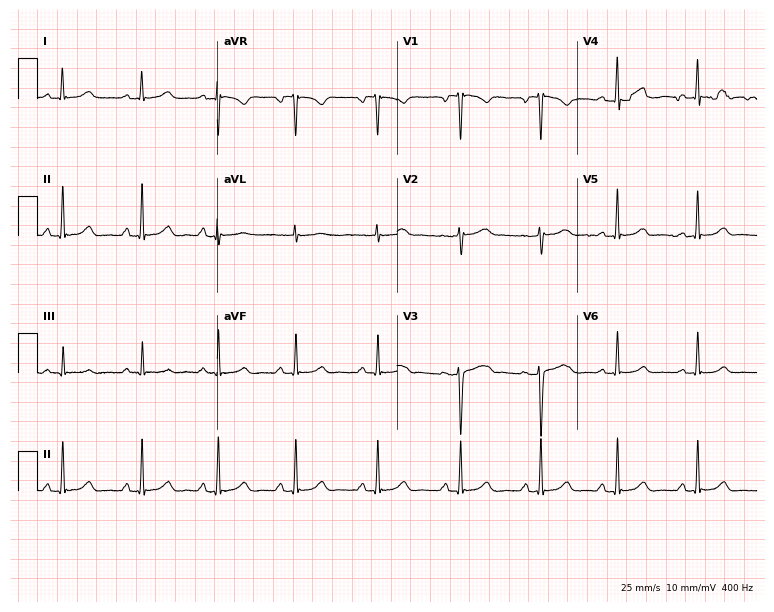
ECG (7.3-second recording at 400 Hz) — a woman, 19 years old. Labelled as a normal ECG.